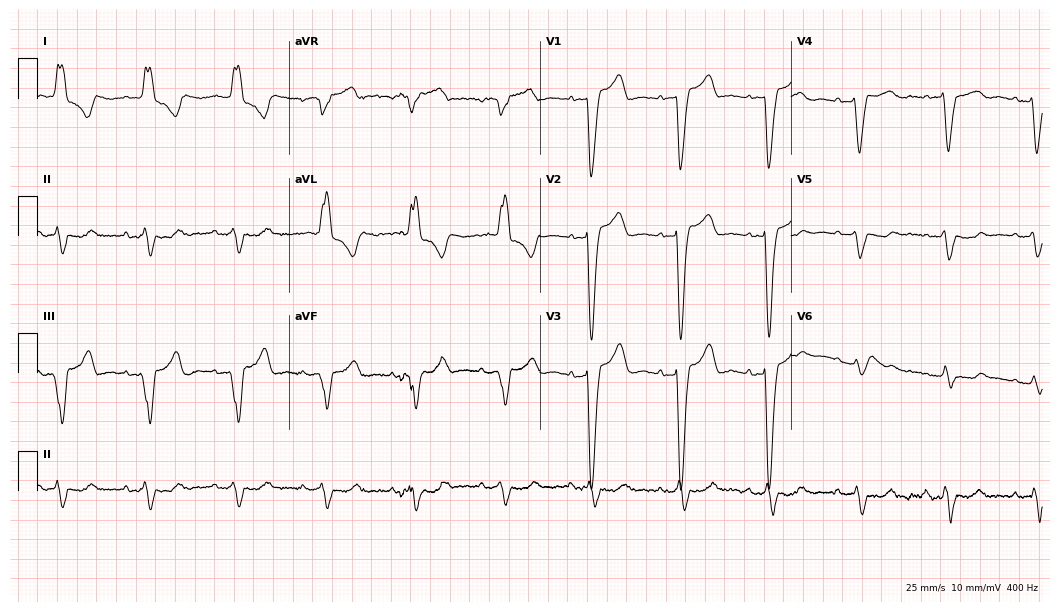
Electrocardiogram, a female patient, 68 years old. Interpretation includes left bundle branch block (LBBB).